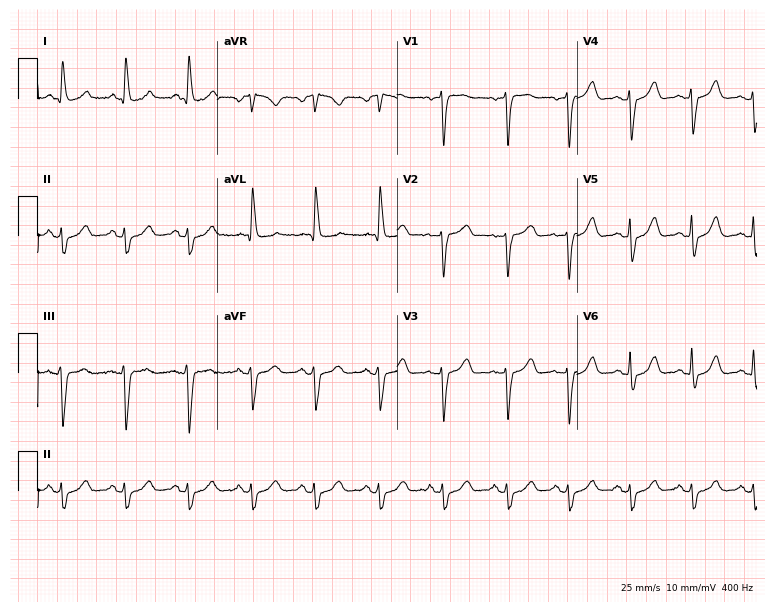
Standard 12-lead ECG recorded from a female, 80 years old. None of these six findings is recorded: first-degree AV block, right bundle branch block (RBBB), left bundle branch block (LBBB), sinus bradycardia, atrial fibrillation (AF), sinus tachycardia. Other findings, if any, are not listed.